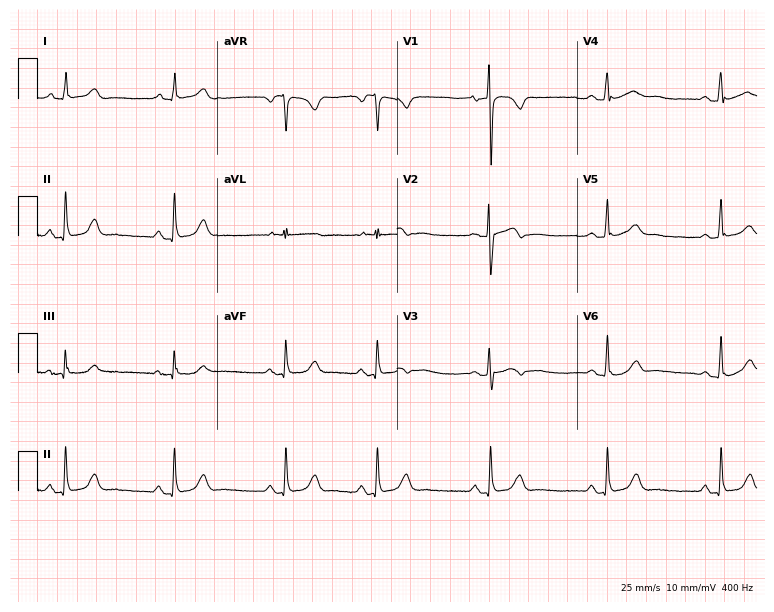
12-lead ECG (7.3-second recording at 400 Hz) from a woman, 55 years old. Labelled as a normal ECG.